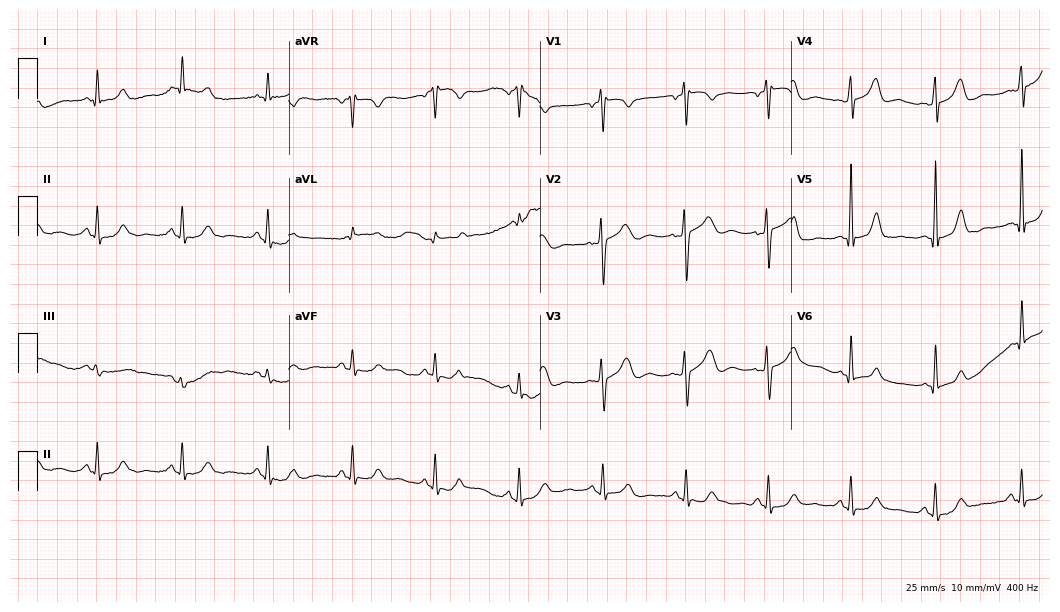
12-lead ECG from a male patient, 59 years old. No first-degree AV block, right bundle branch block (RBBB), left bundle branch block (LBBB), sinus bradycardia, atrial fibrillation (AF) or sinus tachycardia recorded for this tracing.